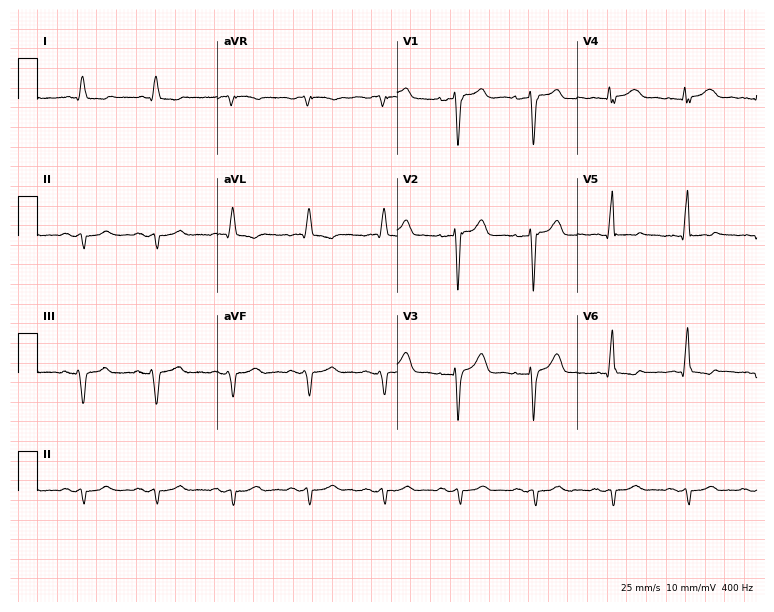
Standard 12-lead ECG recorded from a 46-year-old male. None of these six findings is recorded: first-degree AV block, right bundle branch block, left bundle branch block, sinus bradycardia, atrial fibrillation, sinus tachycardia. Only these six findings were labelled.